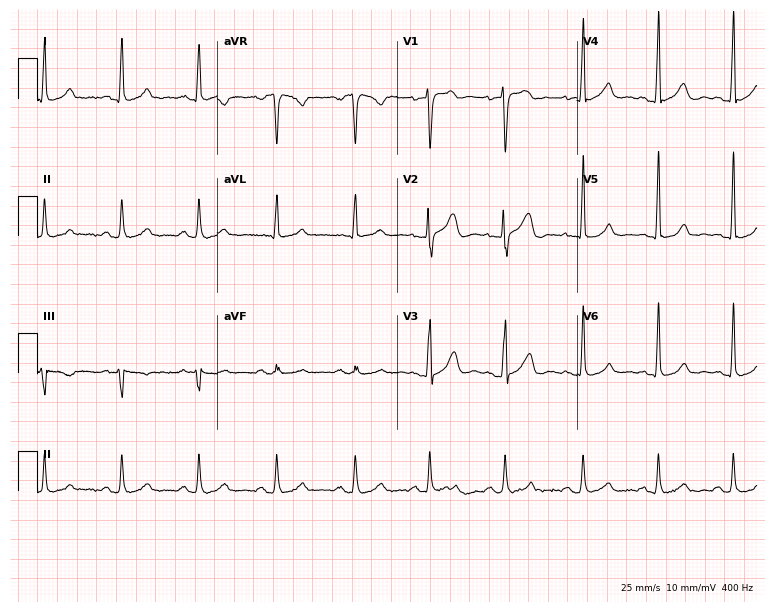
Resting 12-lead electrocardiogram (7.3-second recording at 400 Hz). Patient: a man, 38 years old. Read as a normal ECG.